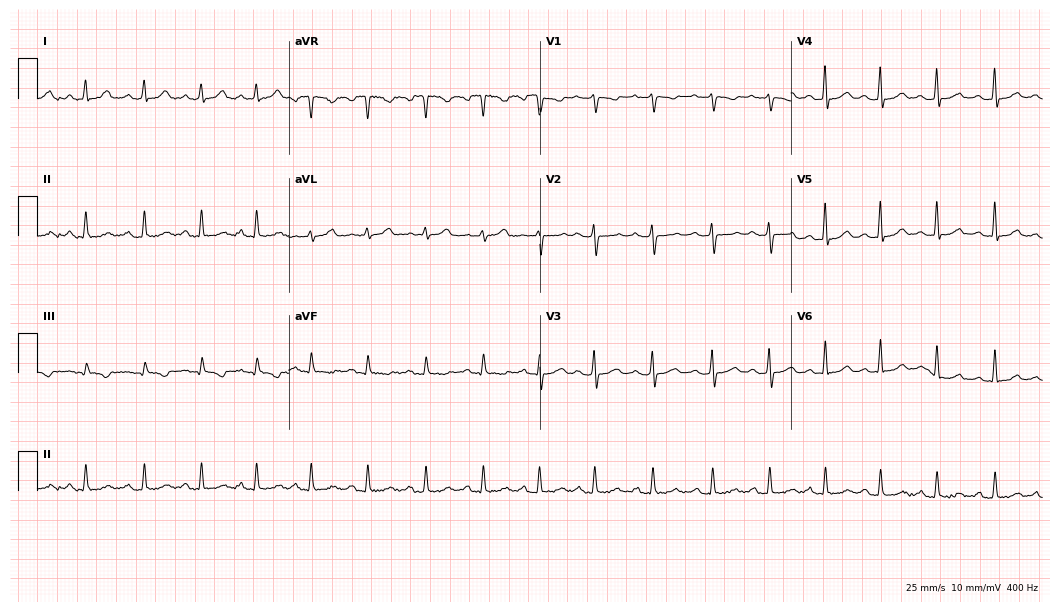
ECG — a 32-year-old woman. Screened for six findings — first-degree AV block, right bundle branch block, left bundle branch block, sinus bradycardia, atrial fibrillation, sinus tachycardia — none is recorded.